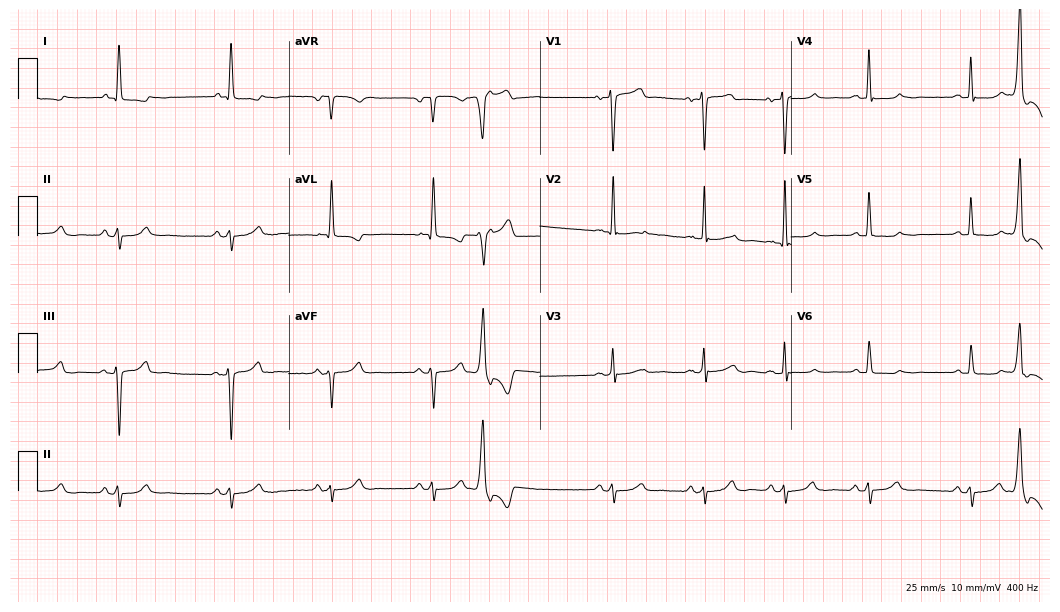
Electrocardiogram, an 81-year-old female patient. Of the six screened findings (first-degree AV block, right bundle branch block, left bundle branch block, sinus bradycardia, atrial fibrillation, sinus tachycardia), none is recorded. Other findings, if any, are not listed.